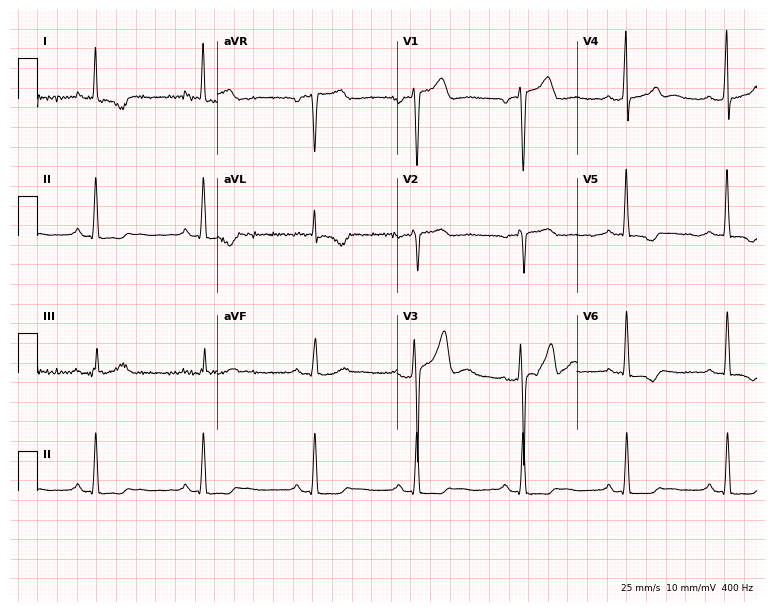
Standard 12-lead ECG recorded from a male patient, 41 years old (7.3-second recording at 400 Hz). None of these six findings is recorded: first-degree AV block, right bundle branch block (RBBB), left bundle branch block (LBBB), sinus bradycardia, atrial fibrillation (AF), sinus tachycardia. Only these six findings were labelled.